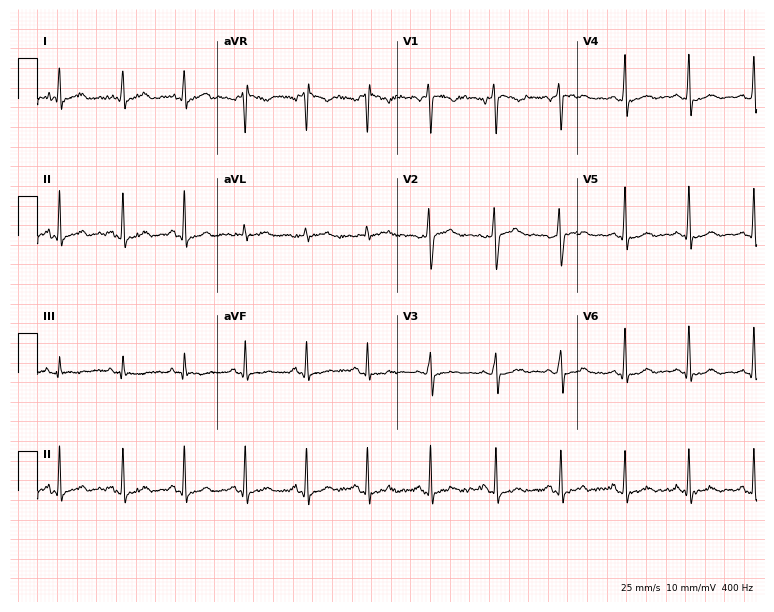
Electrocardiogram (7.3-second recording at 400 Hz), a female patient, 37 years old. Overall reading on record: normal ECG.